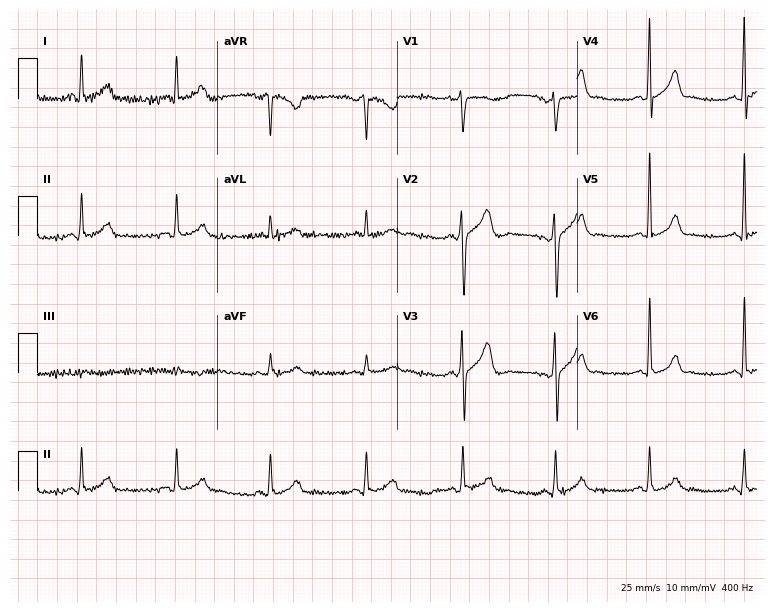
Electrocardiogram (7.3-second recording at 400 Hz), a 36-year-old male. Overall reading on record: normal ECG.